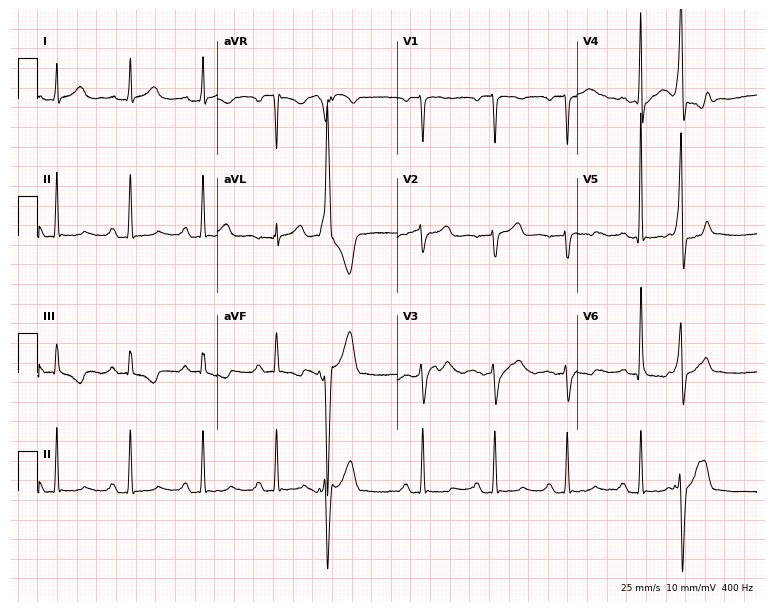
12-lead ECG from an 82-year-old male patient. Screened for six findings — first-degree AV block, right bundle branch block, left bundle branch block, sinus bradycardia, atrial fibrillation, sinus tachycardia — none is recorded. Findings outside these six are not listed.